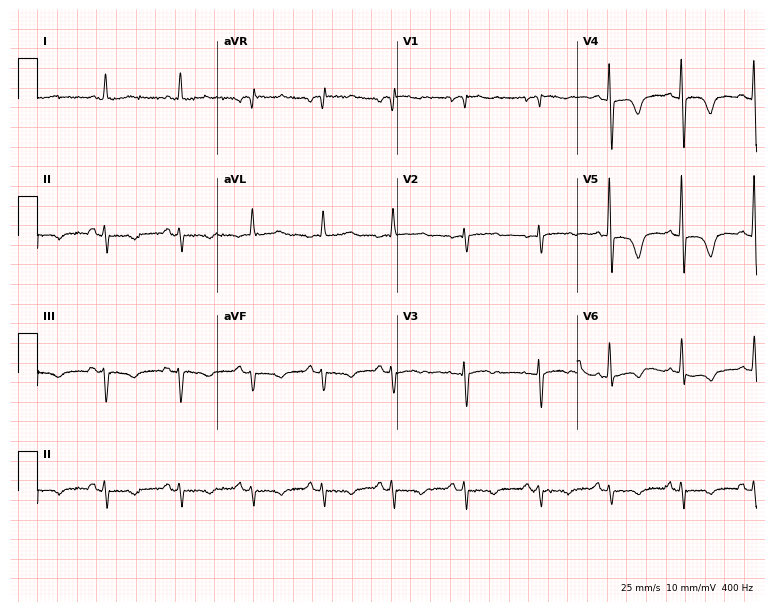
Standard 12-lead ECG recorded from an 81-year-old woman (7.3-second recording at 400 Hz). None of these six findings is recorded: first-degree AV block, right bundle branch block, left bundle branch block, sinus bradycardia, atrial fibrillation, sinus tachycardia. Findings outside these six are not listed.